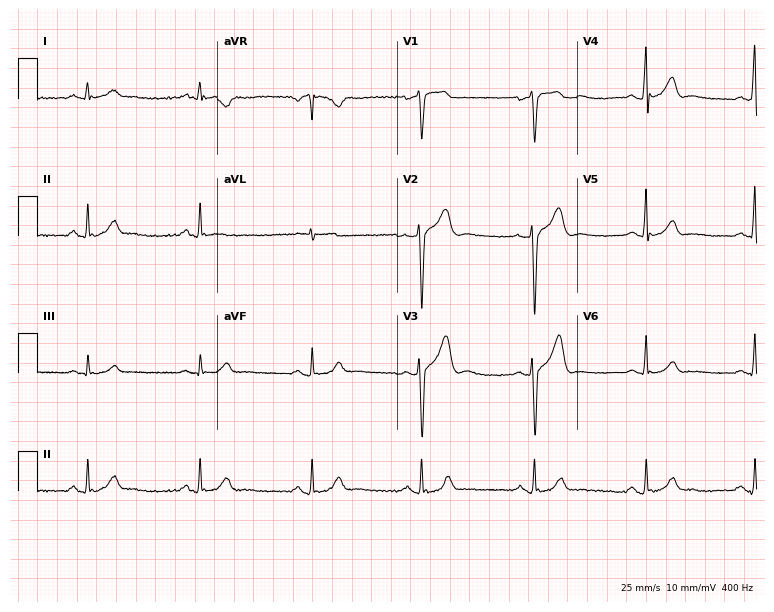
Standard 12-lead ECG recorded from a male patient, 37 years old (7.3-second recording at 400 Hz). Read as a normal ECG.